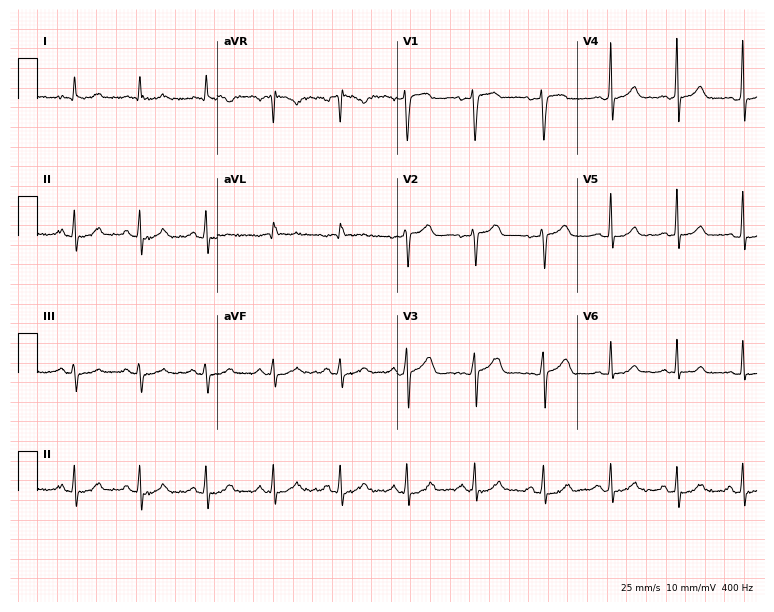
ECG (7.3-second recording at 400 Hz) — a 52-year-old man. Labelled as a normal ECG.